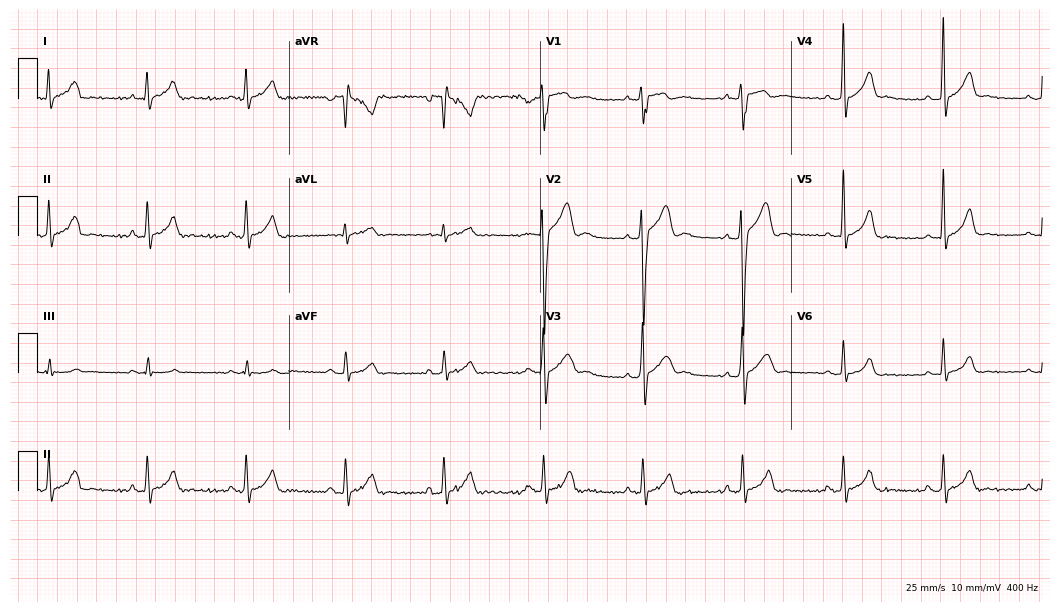
12-lead ECG from a 19-year-old man. Labelled as a normal ECG.